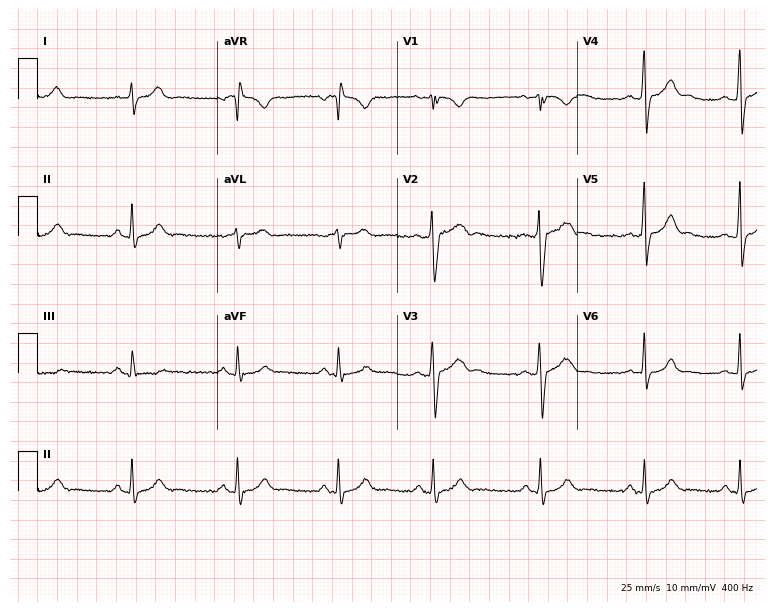
12-lead ECG from a 20-year-old man. Recorded interpretation: within normal limits.